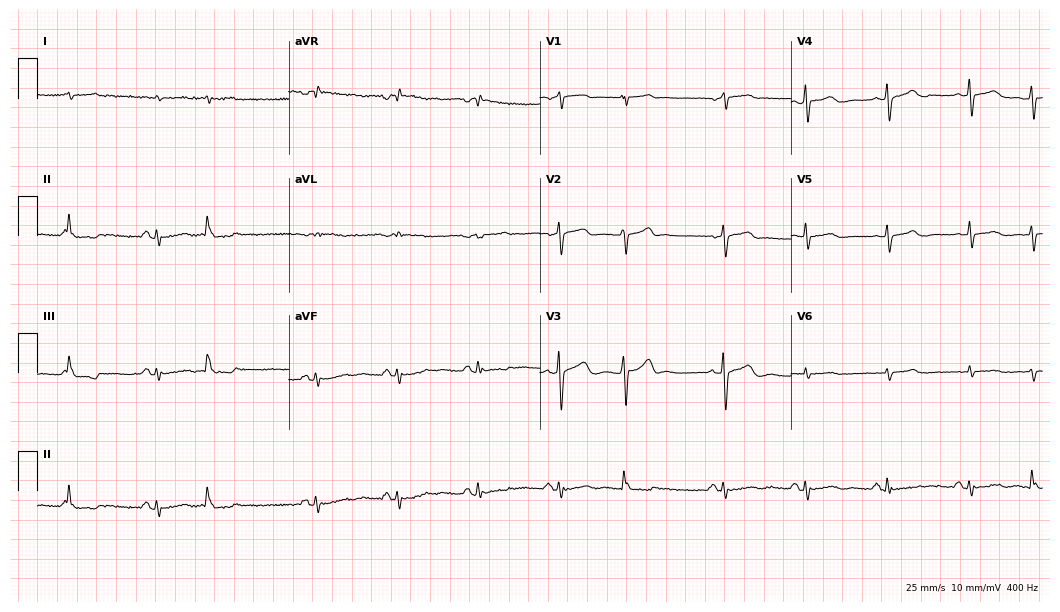
Standard 12-lead ECG recorded from a 78-year-old male patient. None of these six findings is recorded: first-degree AV block, right bundle branch block (RBBB), left bundle branch block (LBBB), sinus bradycardia, atrial fibrillation (AF), sinus tachycardia.